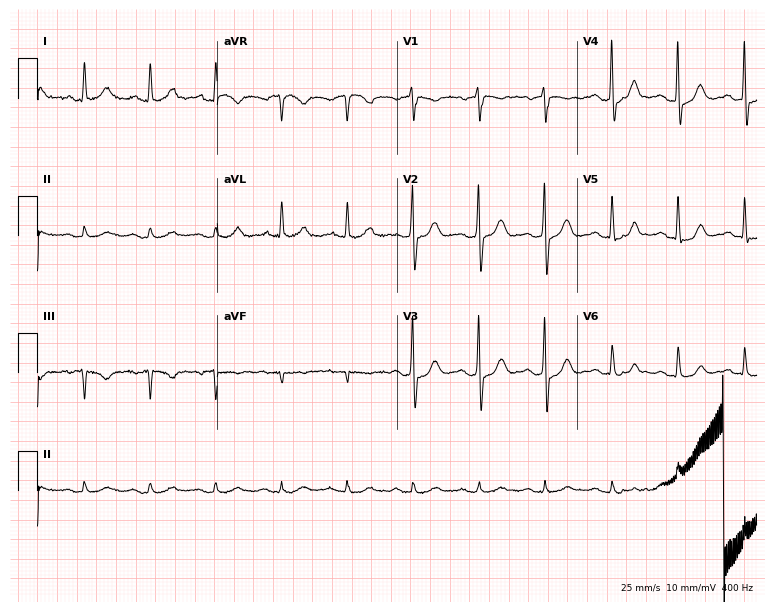
Electrocardiogram (7.3-second recording at 400 Hz), a male, 77 years old. Of the six screened findings (first-degree AV block, right bundle branch block (RBBB), left bundle branch block (LBBB), sinus bradycardia, atrial fibrillation (AF), sinus tachycardia), none is recorded.